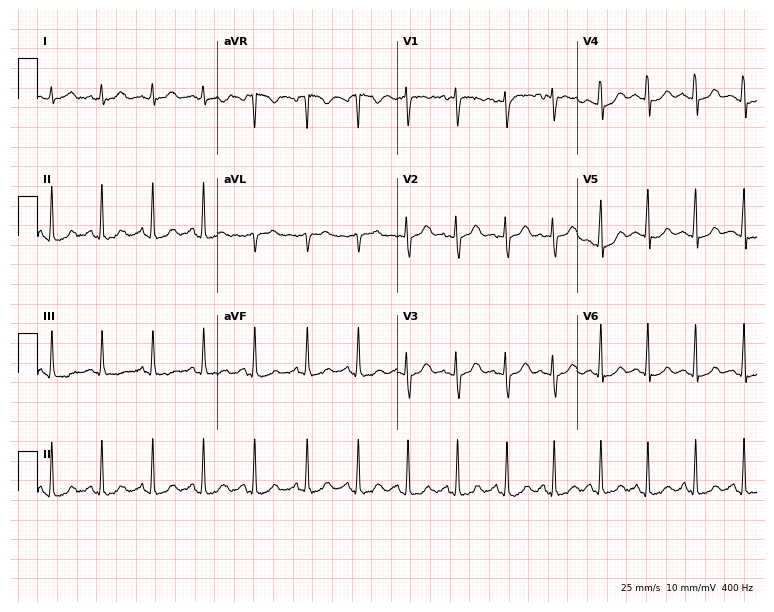
12-lead ECG from a 23-year-old woman (7.3-second recording at 400 Hz). Shows sinus tachycardia (a sinus rate of 100 beats per minute or more).